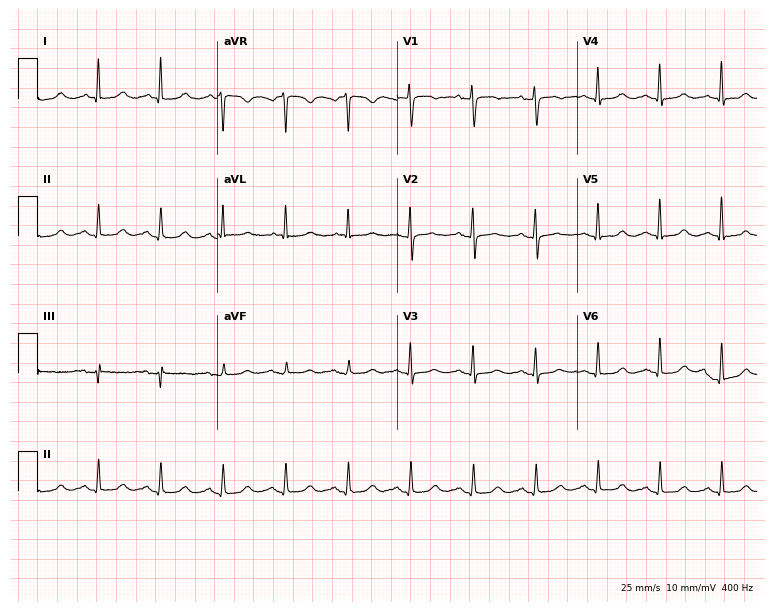
Resting 12-lead electrocardiogram. Patient: an 81-year-old female. Read as a normal ECG.